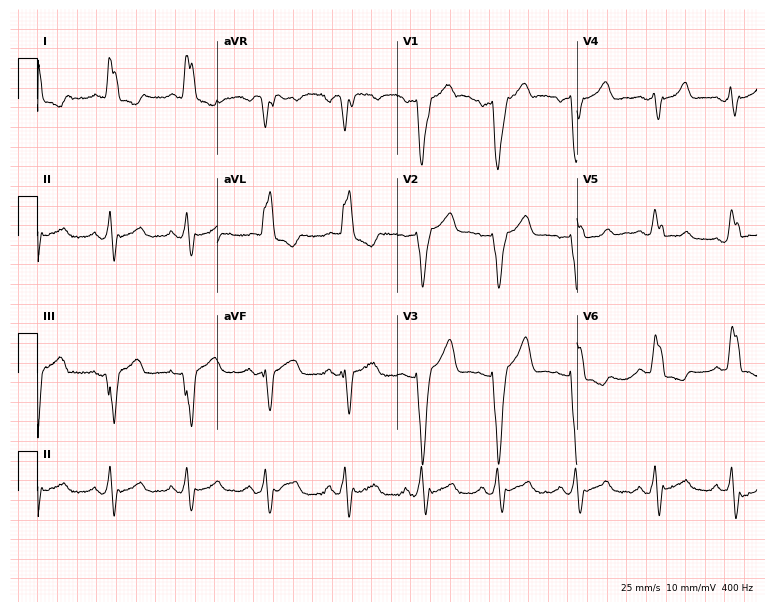
Standard 12-lead ECG recorded from a woman, 76 years old. The tracing shows left bundle branch block.